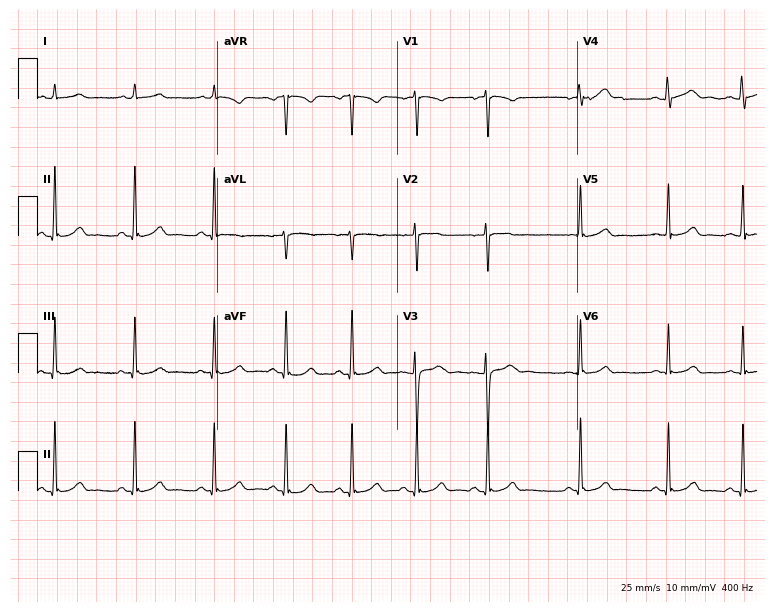
Electrocardiogram (7.3-second recording at 400 Hz), an 18-year-old female patient. Of the six screened findings (first-degree AV block, right bundle branch block (RBBB), left bundle branch block (LBBB), sinus bradycardia, atrial fibrillation (AF), sinus tachycardia), none is recorded.